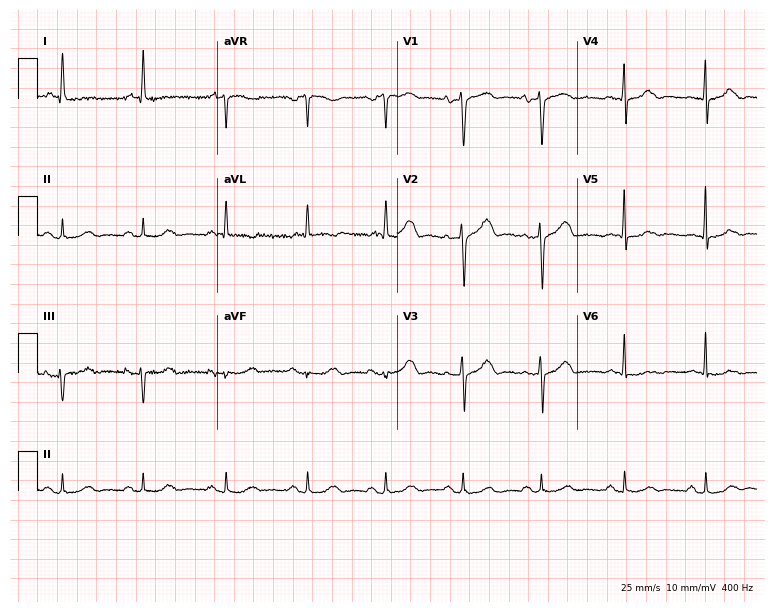
Standard 12-lead ECG recorded from a woman, 68 years old. None of these six findings is recorded: first-degree AV block, right bundle branch block, left bundle branch block, sinus bradycardia, atrial fibrillation, sinus tachycardia.